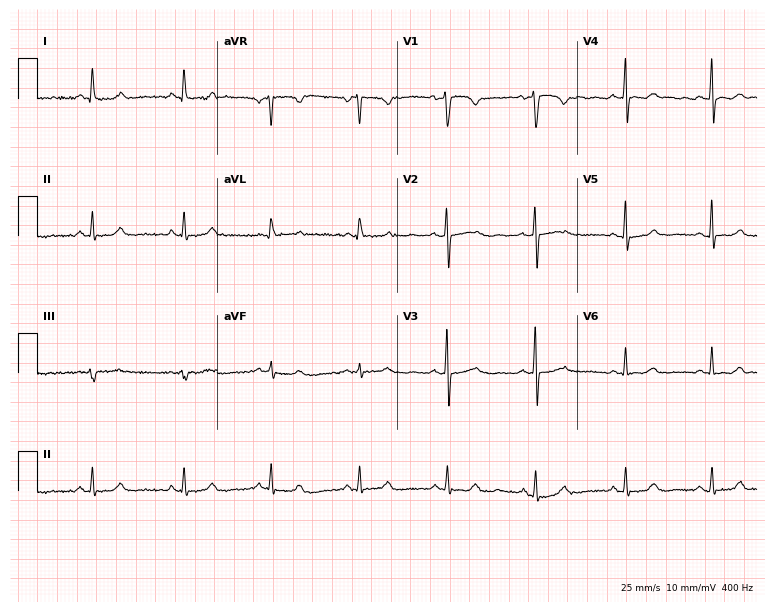
12-lead ECG (7.3-second recording at 400 Hz) from a female, 45 years old. Labelled as a normal ECG.